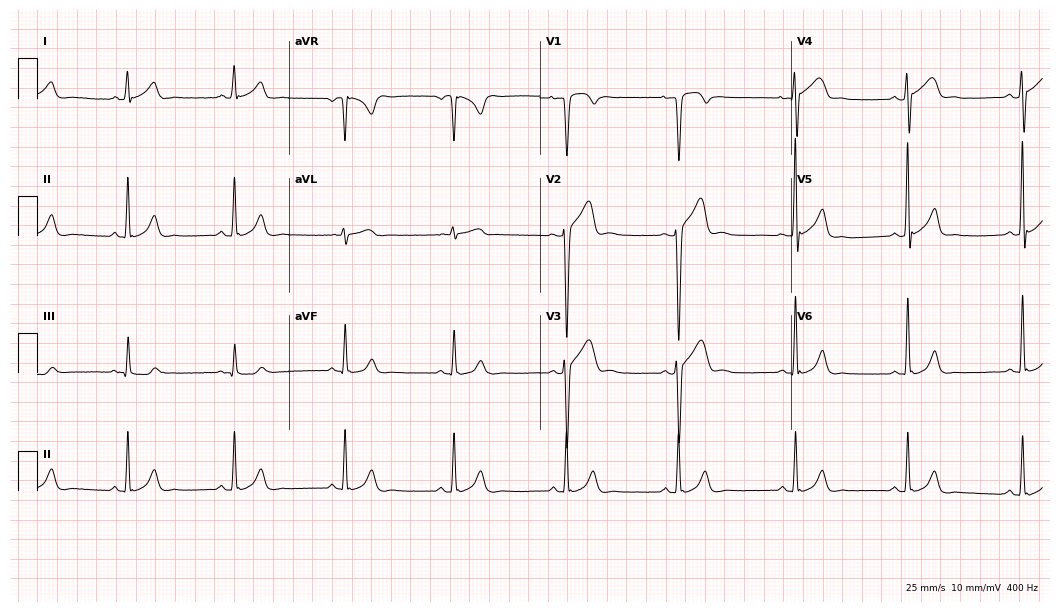
Electrocardiogram, a male, 28 years old. Overall reading on record: normal ECG.